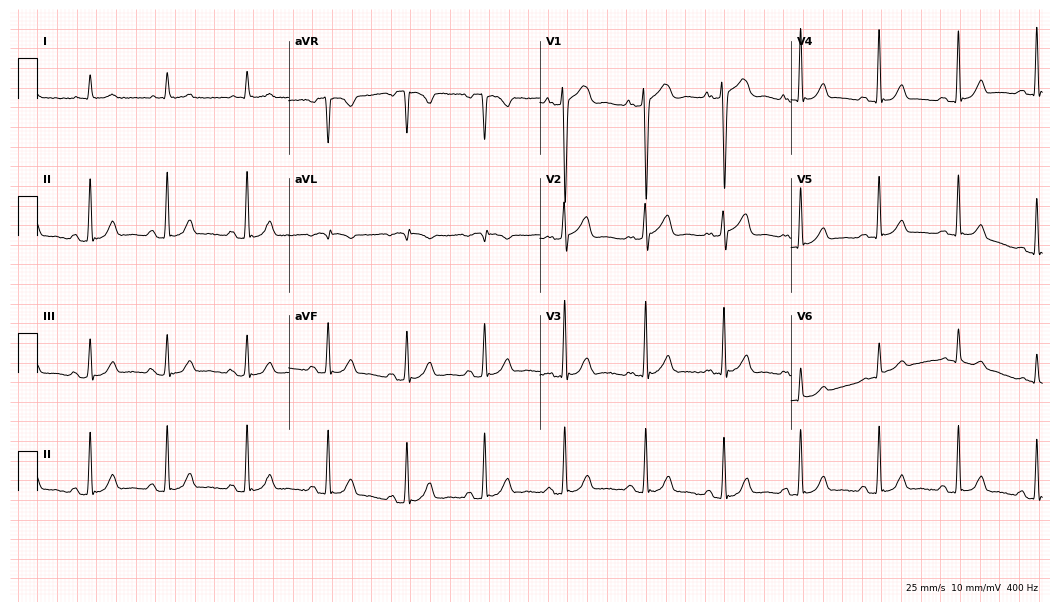
Standard 12-lead ECG recorded from a 67-year-old male. None of these six findings is recorded: first-degree AV block, right bundle branch block, left bundle branch block, sinus bradycardia, atrial fibrillation, sinus tachycardia.